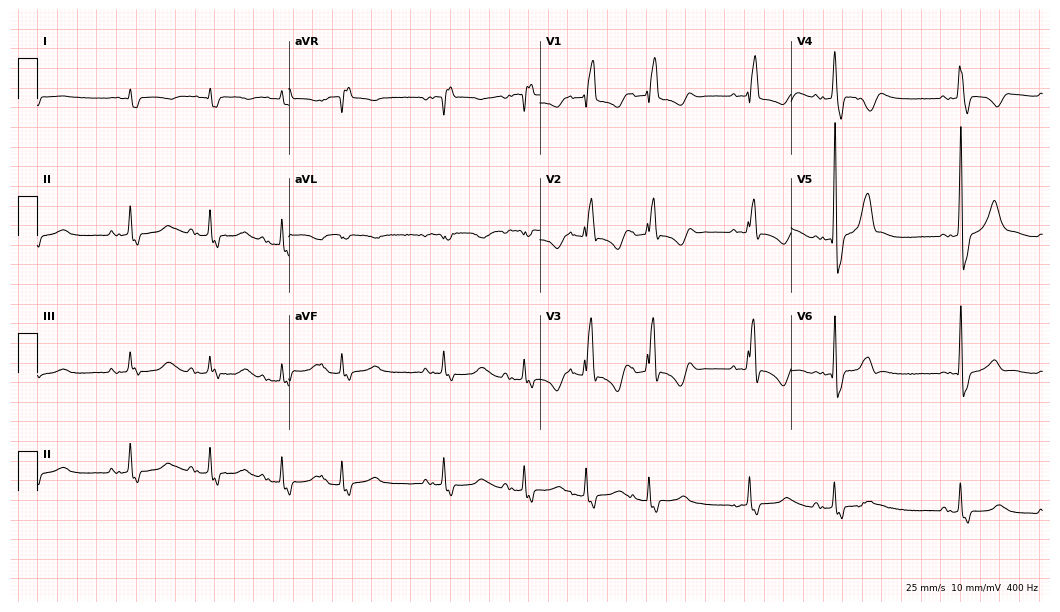
Electrocardiogram (10.2-second recording at 400 Hz), a 75-year-old woman. Of the six screened findings (first-degree AV block, right bundle branch block, left bundle branch block, sinus bradycardia, atrial fibrillation, sinus tachycardia), none is recorded.